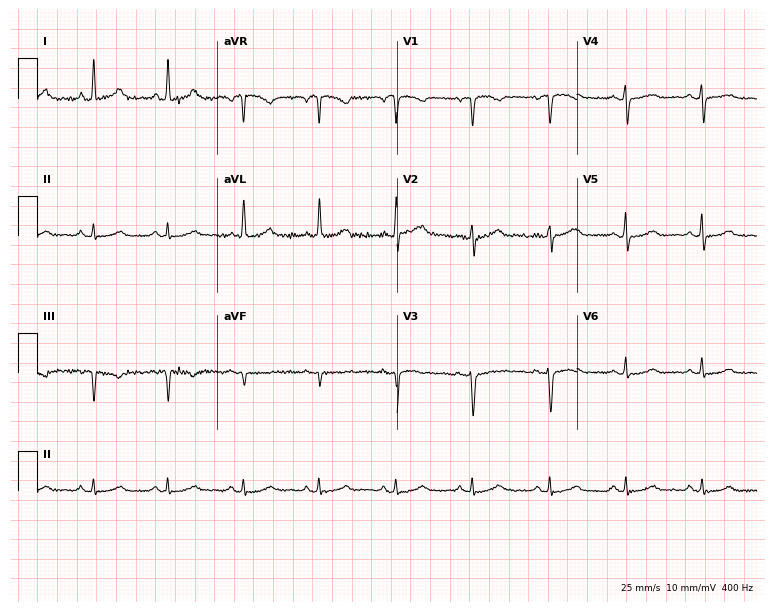
12-lead ECG (7.3-second recording at 400 Hz) from a 68-year-old woman. Screened for six findings — first-degree AV block, right bundle branch block, left bundle branch block, sinus bradycardia, atrial fibrillation, sinus tachycardia — none is recorded. Findings outside these six are not listed.